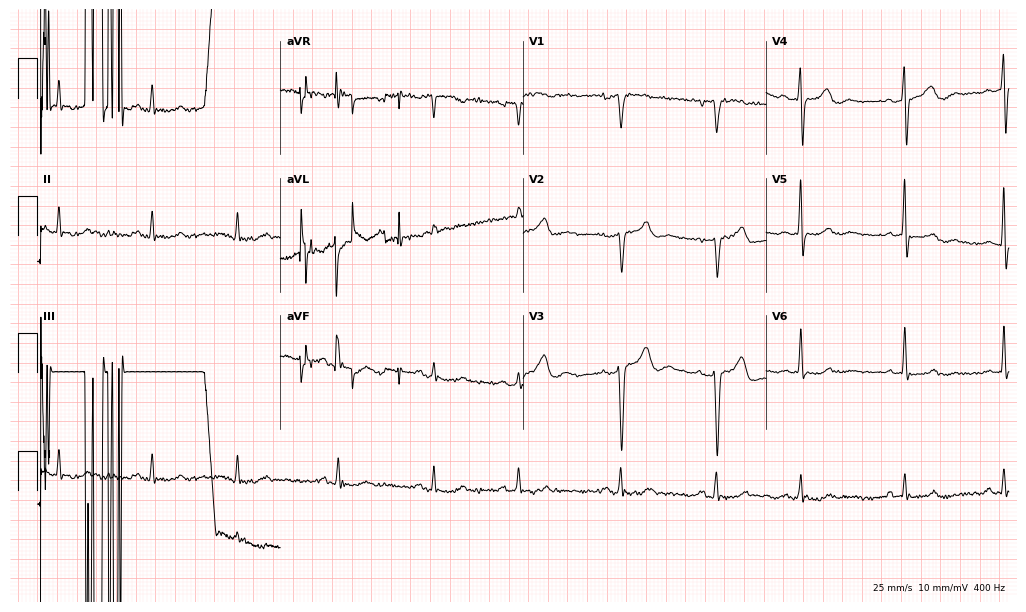
Electrocardiogram, an 87-year-old man. Of the six screened findings (first-degree AV block, right bundle branch block, left bundle branch block, sinus bradycardia, atrial fibrillation, sinus tachycardia), none is recorded. Other findings, if any, are not listed.